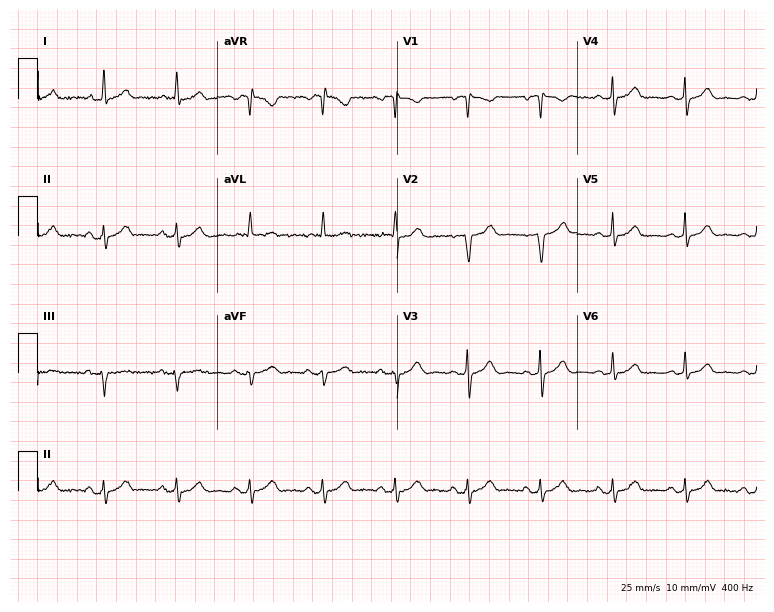
12-lead ECG from an 81-year-old female. Labelled as a normal ECG.